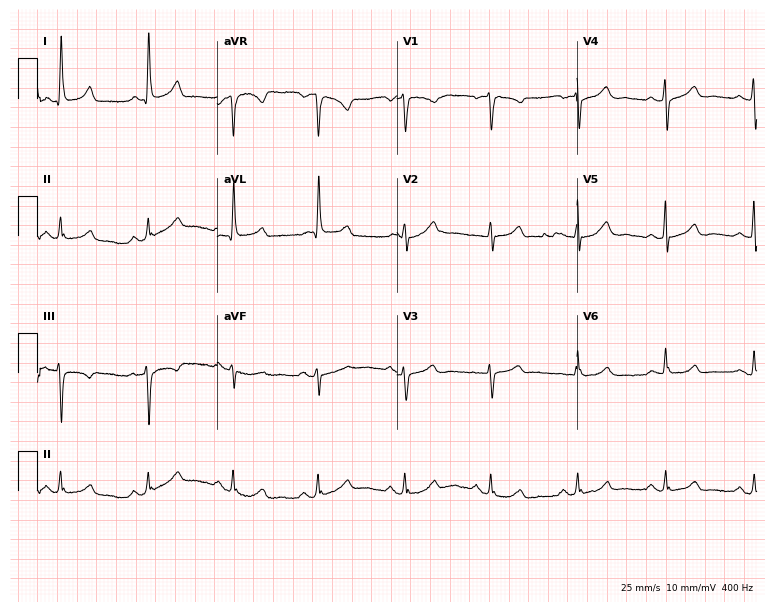
Resting 12-lead electrocardiogram. Patient: a female, 56 years old. Read as a normal ECG.